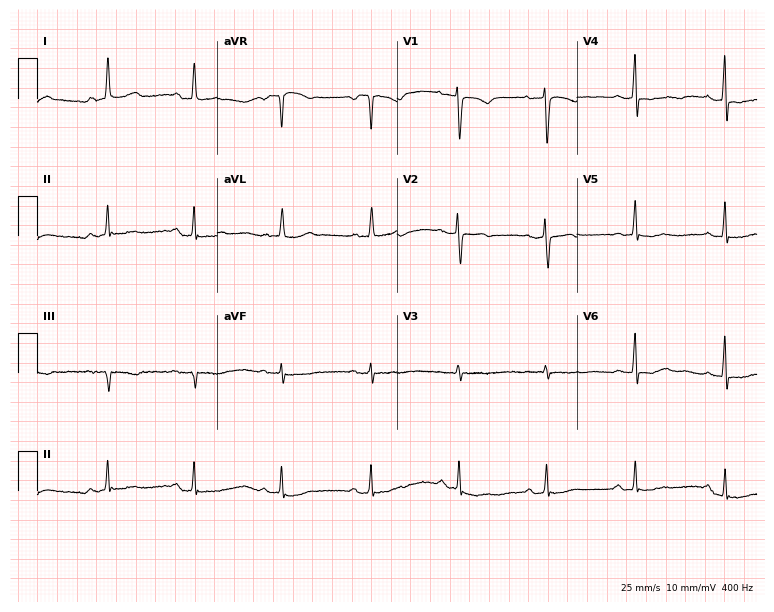
12-lead ECG from a woman, 48 years old. No first-degree AV block, right bundle branch block, left bundle branch block, sinus bradycardia, atrial fibrillation or sinus tachycardia recorded for this tracing.